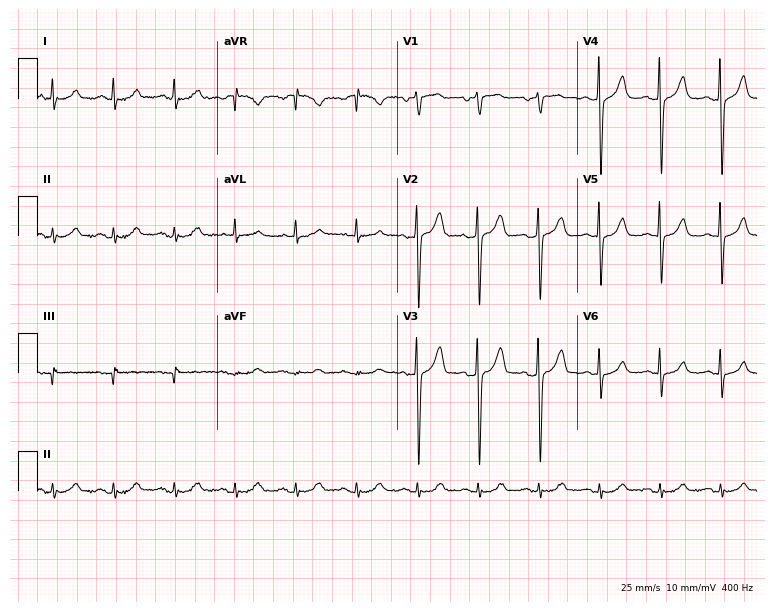
ECG — a male patient, 75 years old. Screened for six findings — first-degree AV block, right bundle branch block, left bundle branch block, sinus bradycardia, atrial fibrillation, sinus tachycardia — none is recorded. Only these six findings were labelled.